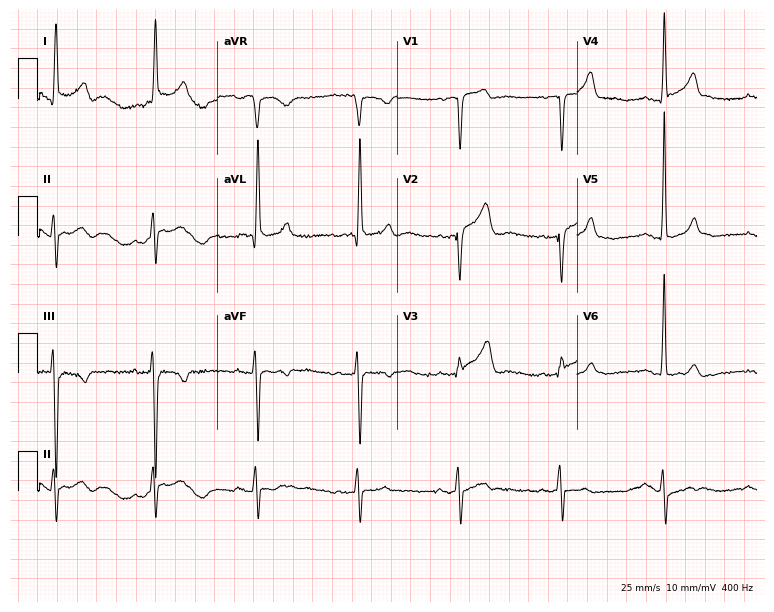
ECG — a male patient, 80 years old. Screened for six findings — first-degree AV block, right bundle branch block, left bundle branch block, sinus bradycardia, atrial fibrillation, sinus tachycardia — none is recorded.